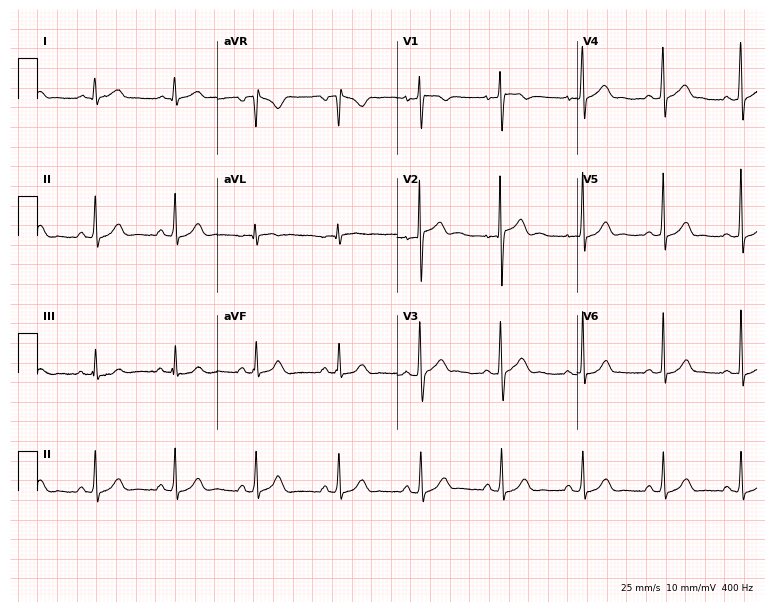
12-lead ECG from a 19-year-old male patient. Screened for six findings — first-degree AV block, right bundle branch block, left bundle branch block, sinus bradycardia, atrial fibrillation, sinus tachycardia — none is recorded.